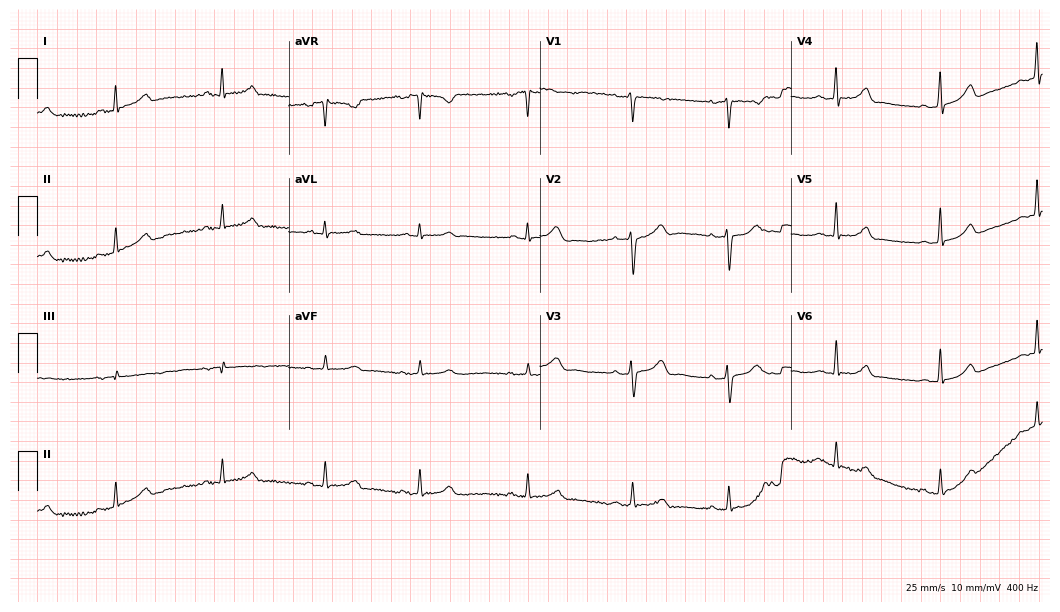
12-lead ECG from a female, 36 years old (10.2-second recording at 400 Hz). Recorded interpretation: within normal limits.